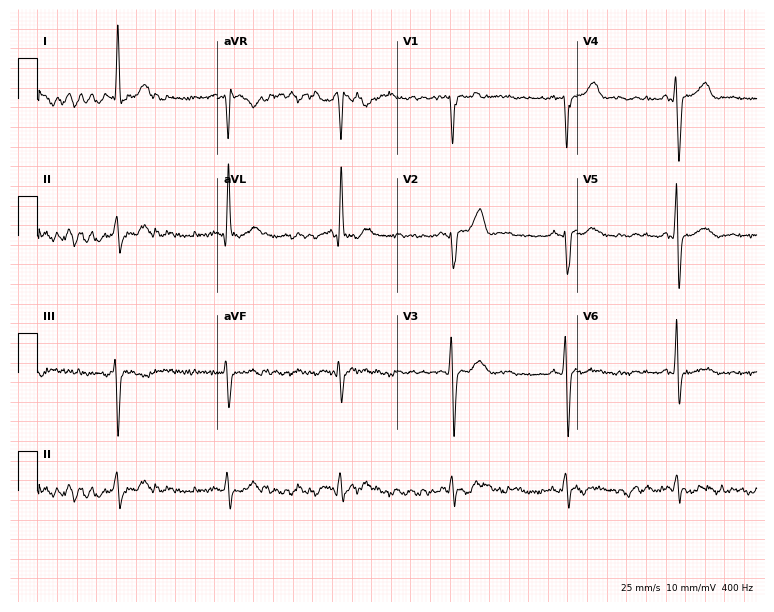
Standard 12-lead ECG recorded from a 48-year-old male patient. None of these six findings is recorded: first-degree AV block, right bundle branch block, left bundle branch block, sinus bradycardia, atrial fibrillation, sinus tachycardia. Findings outside these six are not listed.